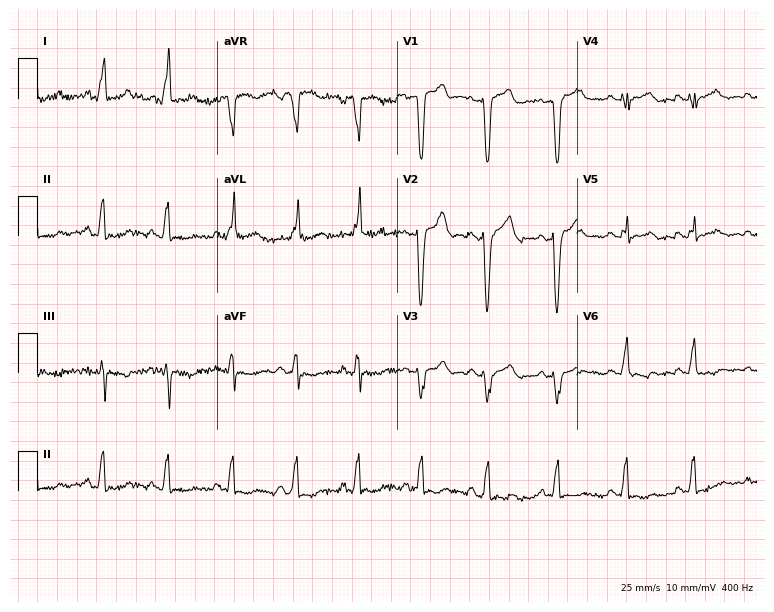
Resting 12-lead electrocardiogram. Patient: a 35-year-old woman. None of these six findings is recorded: first-degree AV block, right bundle branch block, left bundle branch block, sinus bradycardia, atrial fibrillation, sinus tachycardia. Findings outside these six are not listed.